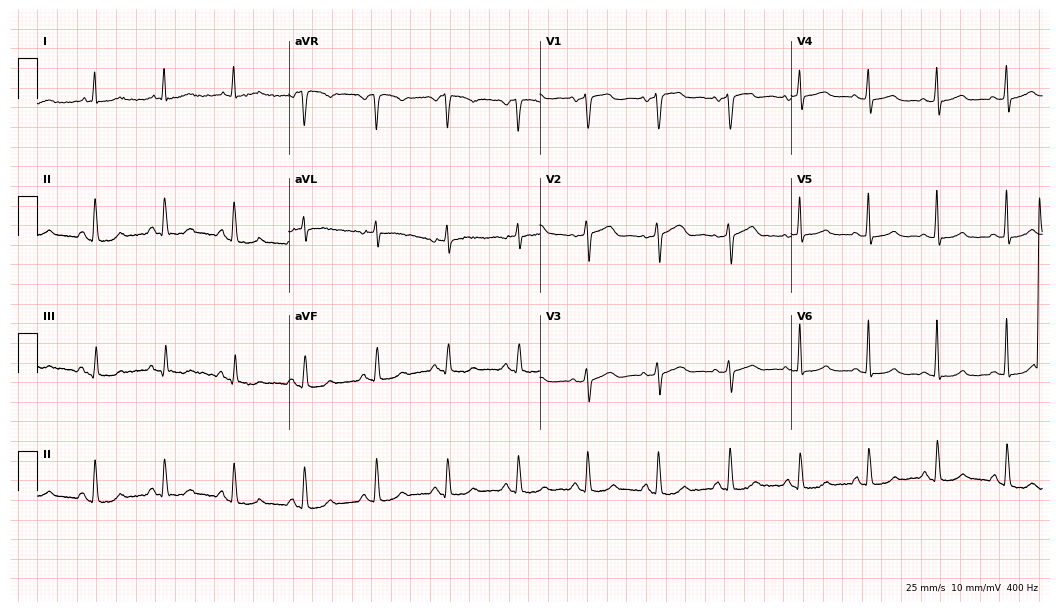
Resting 12-lead electrocardiogram. Patient: a 78-year-old female. None of these six findings is recorded: first-degree AV block, right bundle branch block, left bundle branch block, sinus bradycardia, atrial fibrillation, sinus tachycardia.